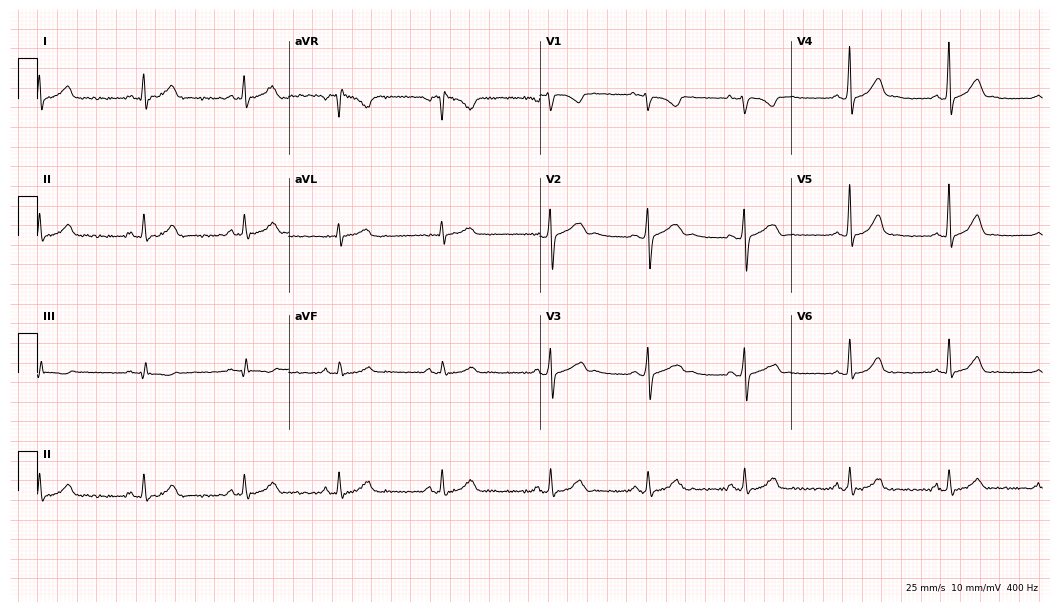
Standard 12-lead ECG recorded from a 37-year-old female patient (10.2-second recording at 400 Hz). Read as a normal ECG.